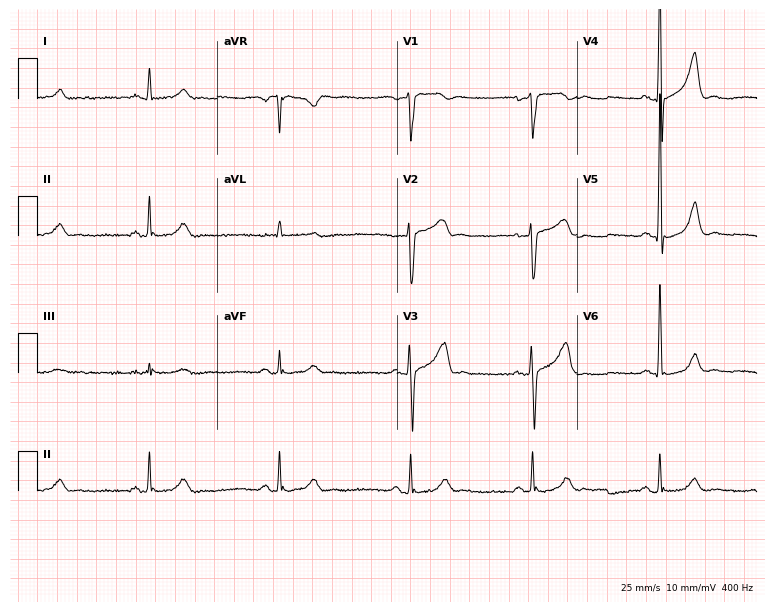
Electrocardiogram, a male patient, 60 years old. Interpretation includes sinus bradycardia (a sinus rate of 50 beats per minute or less).